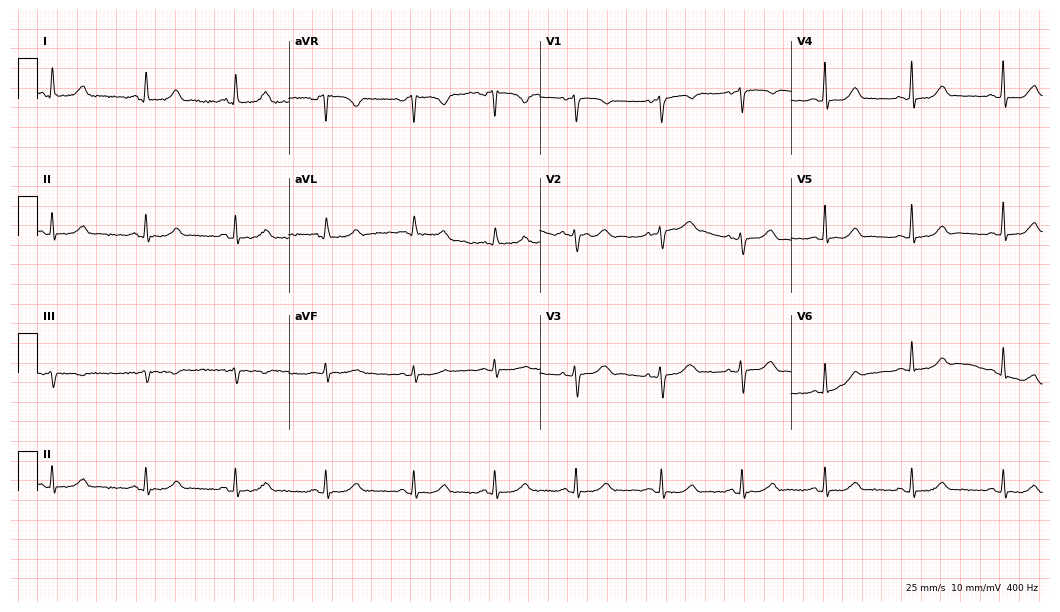
12-lead ECG from a female patient, 44 years old (10.2-second recording at 400 Hz). Recorded interpretation: within normal limits.